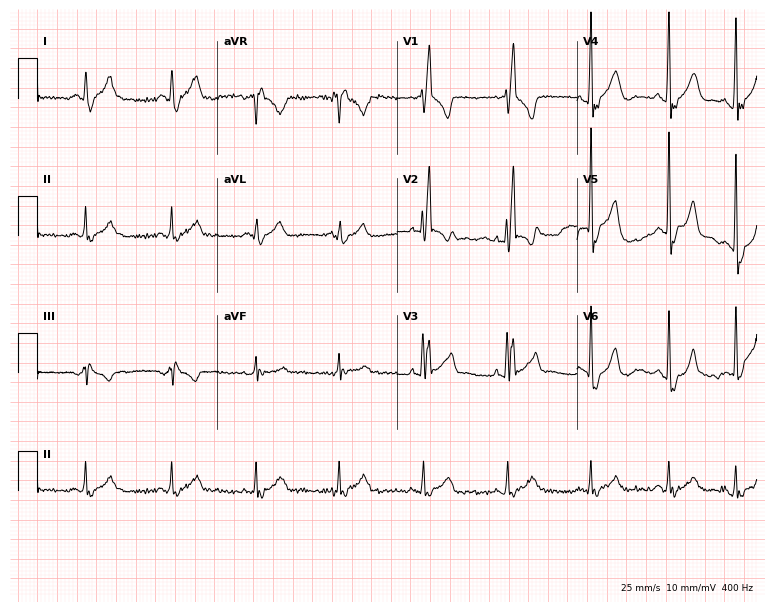
12-lead ECG from a male, 51 years old. Screened for six findings — first-degree AV block, right bundle branch block, left bundle branch block, sinus bradycardia, atrial fibrillation, sinus tachycardia — none is recorded.